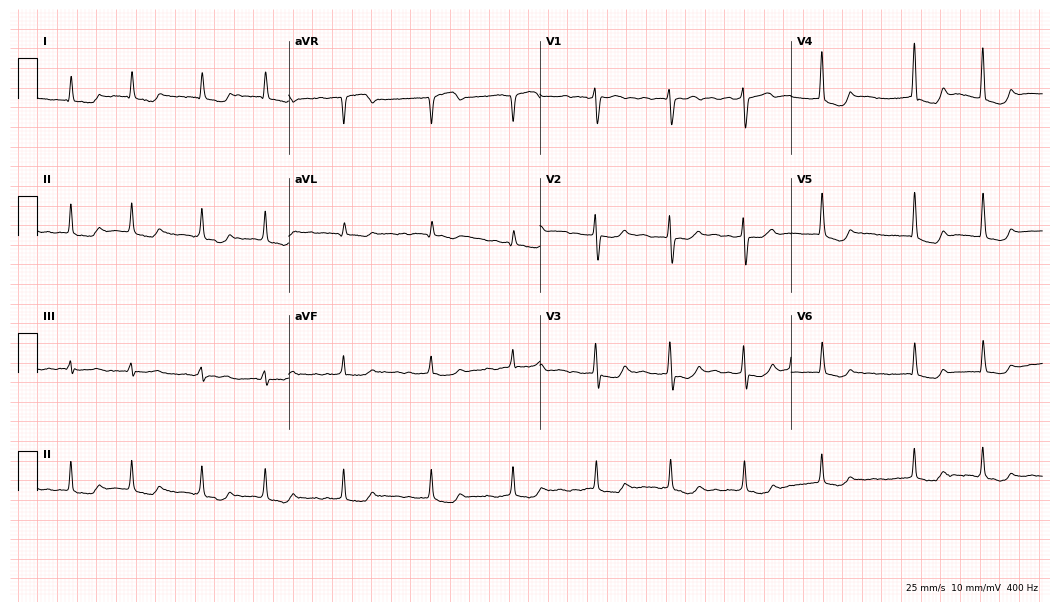
ECG (10.2-second recording at 400 Hz) — a female patient, 75 years old. Screened for six findings — first-degree AV block, right bundle branch block, left bundle branch block, sinus bradycardia, atrial fibrillation, sinus tachycardia — none is recorded. Only these six findings were labelled.